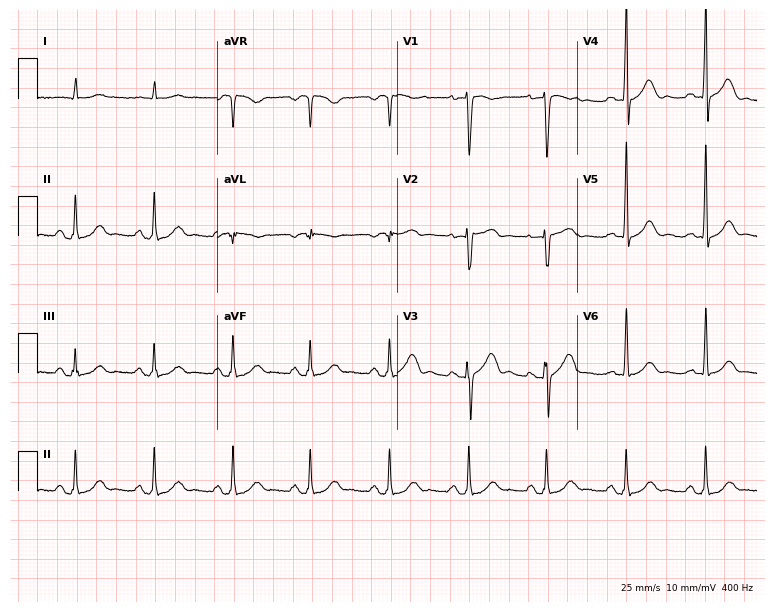
12-lead ECG from an 80-year-old man (7.3-second recording at 400 Hz). No first-degree AV block, right bundle branch block, left bundle branch block, sinus bradycardia, atrial fibrillation or sinus tachycardia recorded for this tracing.